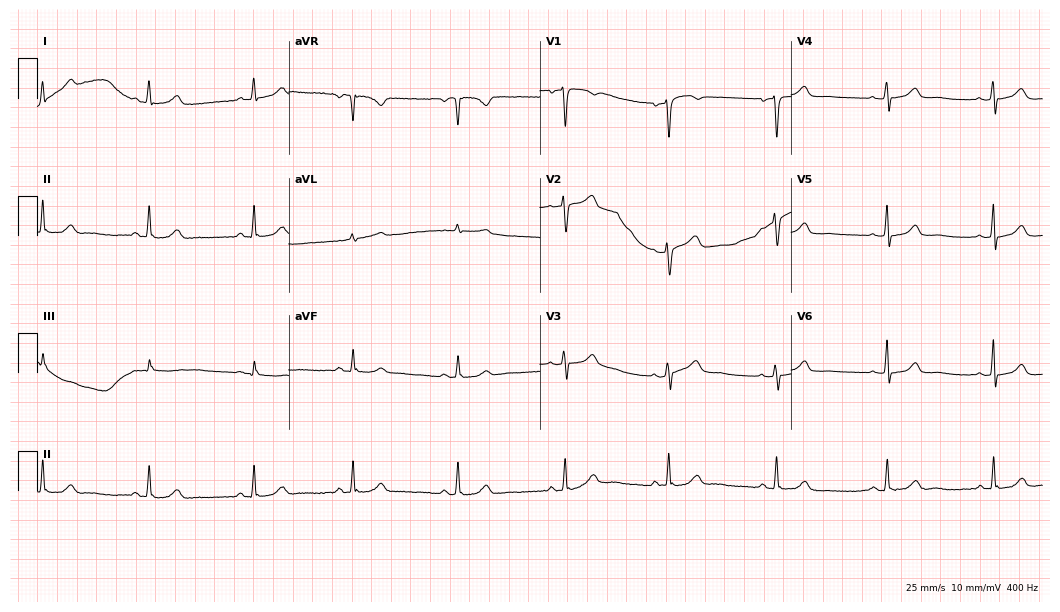
ECG — a 23-year-old woman. Labelled as a normal ECG.